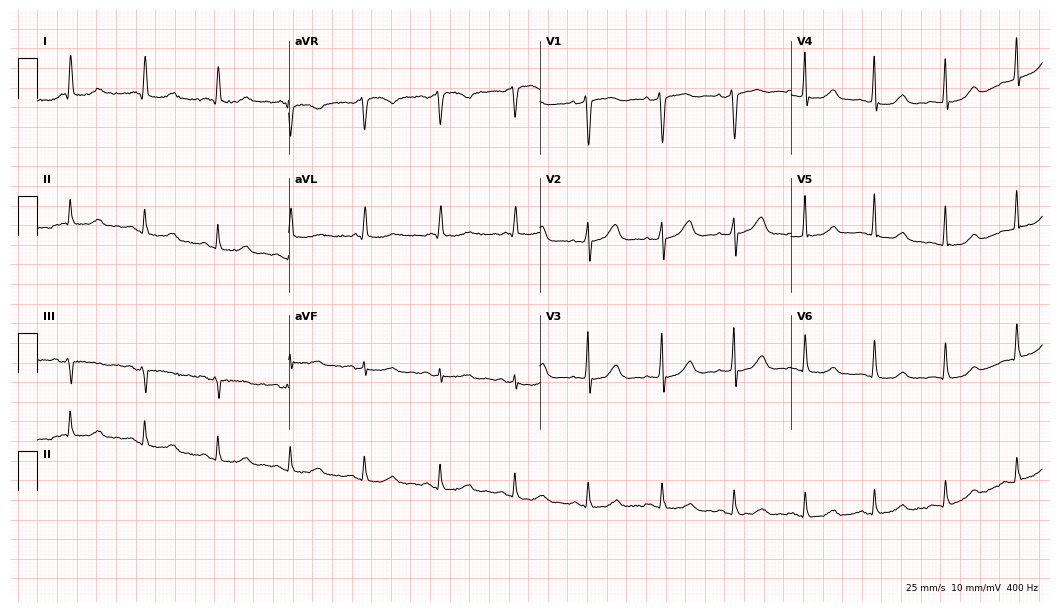
Resting 12-lead electrocardiogram (10.2-second recording at 400 Hz). Patient: a 63-year-old woman. Read as a normal ECG.